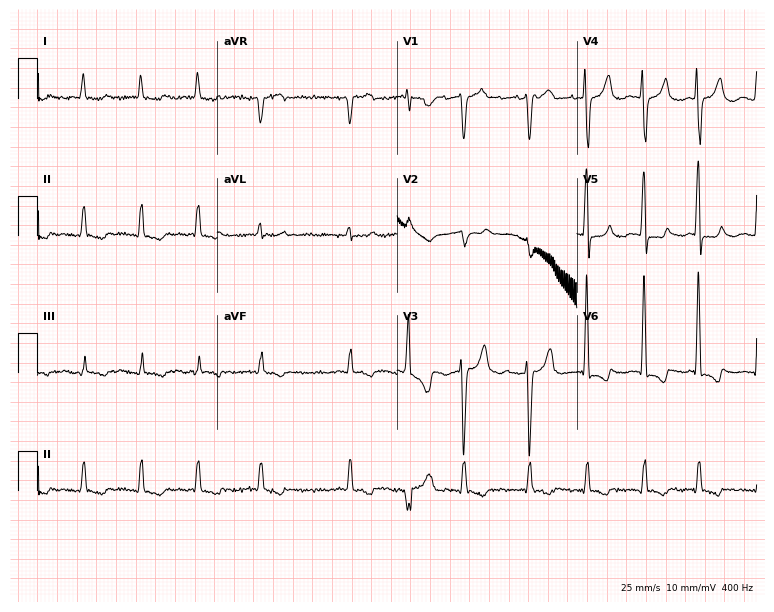
12-lead ECG from a man, 73 years old (7.3-second recording at 400 Hz). Shows atrial fibrillation.